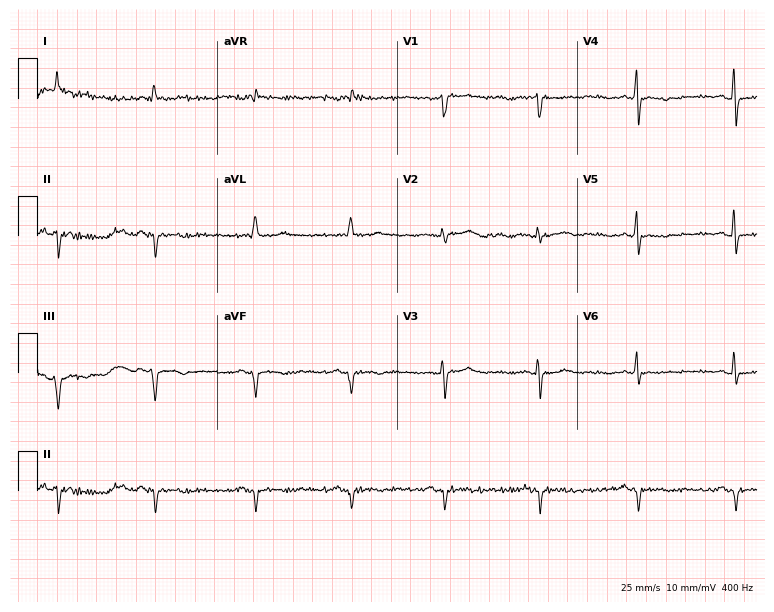
Standard 12-lead ECG recorded from a male, 75 years old (7.3-second recording at 400 Hz). None of these six findings is recorded: first-degree AV block, right bundle branch block, left bundle branch block, sinus bradycardia, atrial fibrillation, sinus tachycardia.